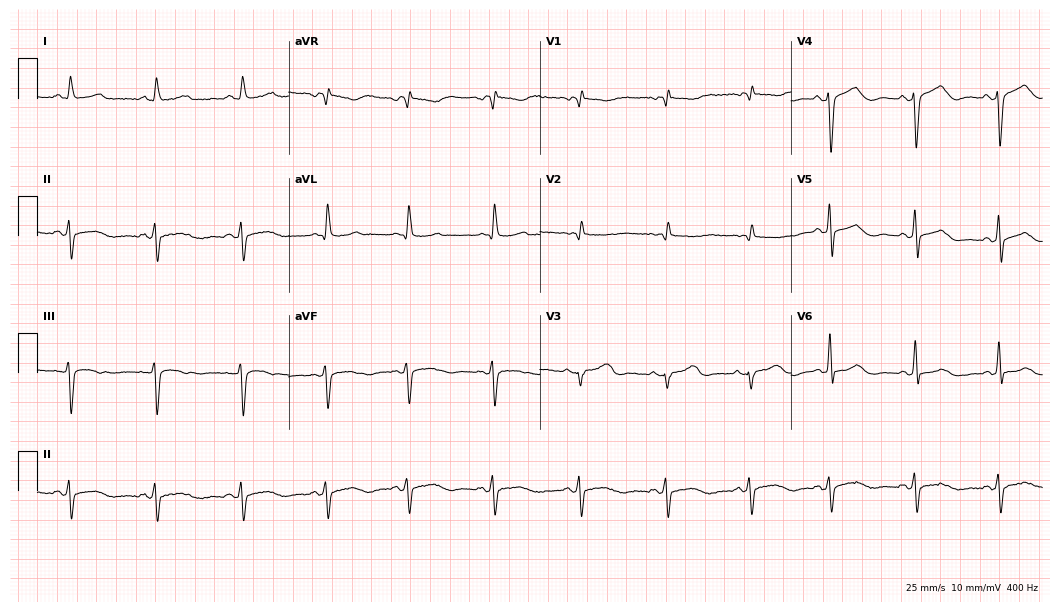
12-lead ECG from a female, 53 years old. Screened for six findings — first-degree AV block, right bundle branch block, left bundle branch block, sinus bradycardia, atrial fibrillation, sinus tachycardia — none is recorded. Only these six findings were labelled.